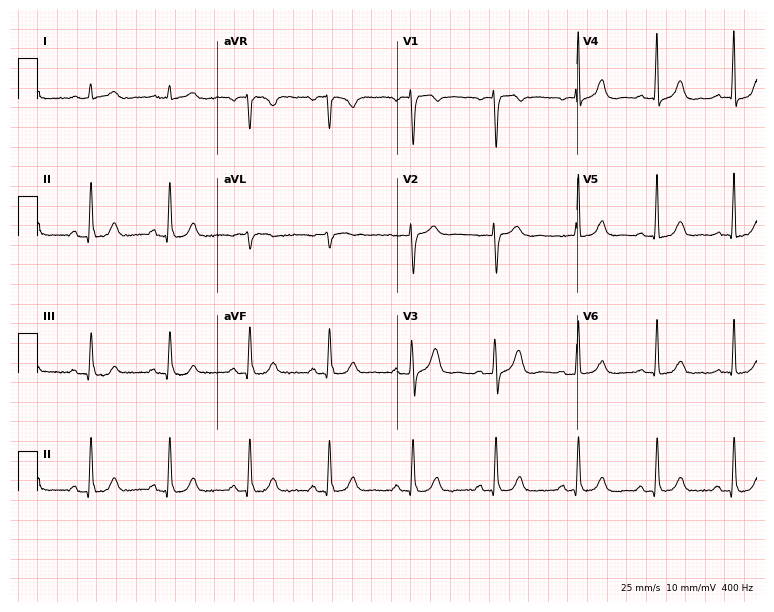
Electrocardiogram, a man, 80 years old. Overall reading on record: normal ECG.